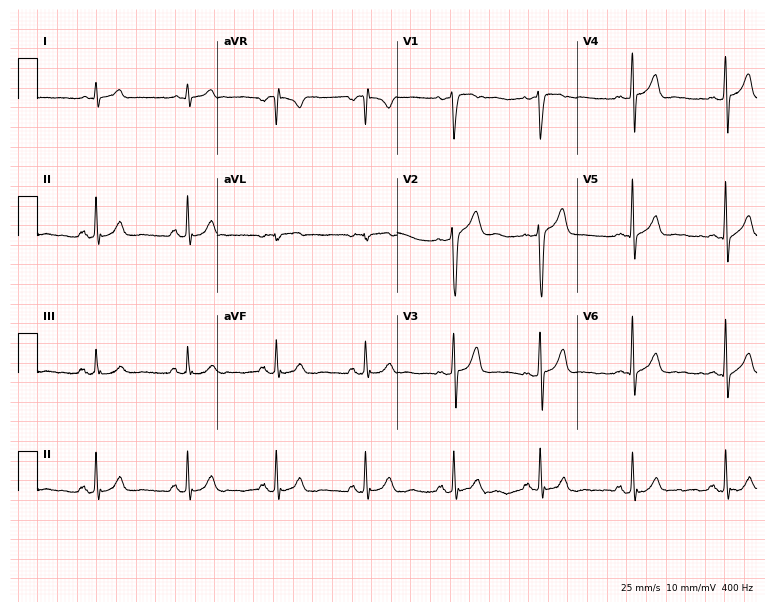
ECG (7.3-second recording at 400 Hz) — a male, 56 years old. Labelled as a normal ECG.